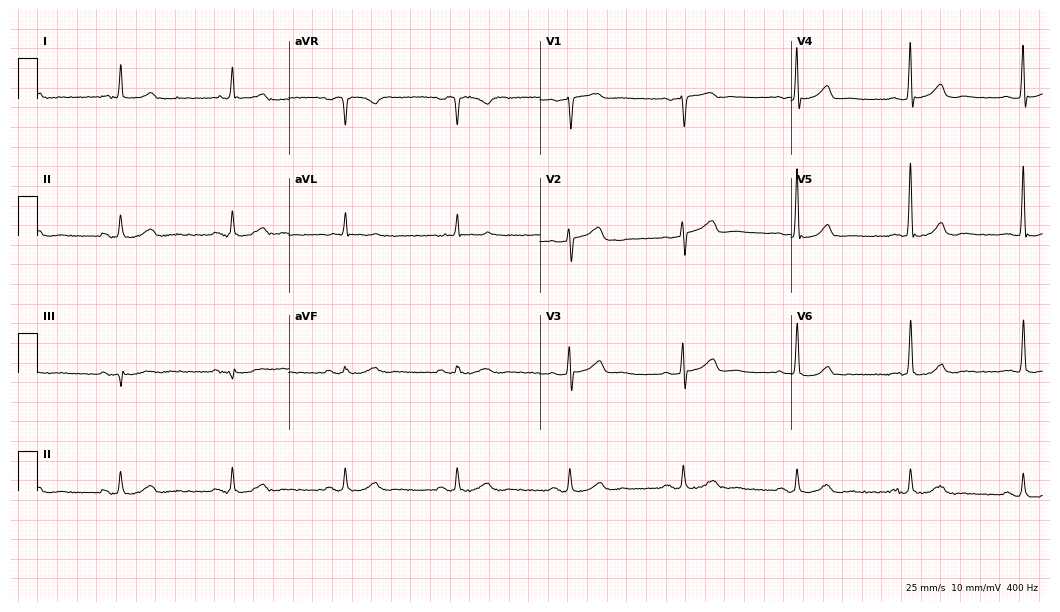
Resting 12-lead electrocardiogram (10.2-second recording at 400 Hz). Patient: an 84-year-old man. Read as a normal ECG.